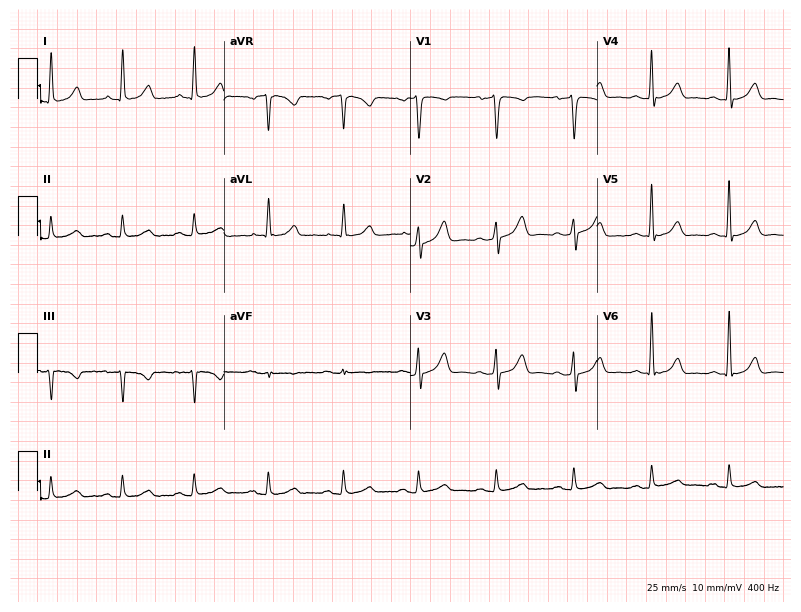
ECG — a male patient, 45 years old. Labelled as a normal ECG.